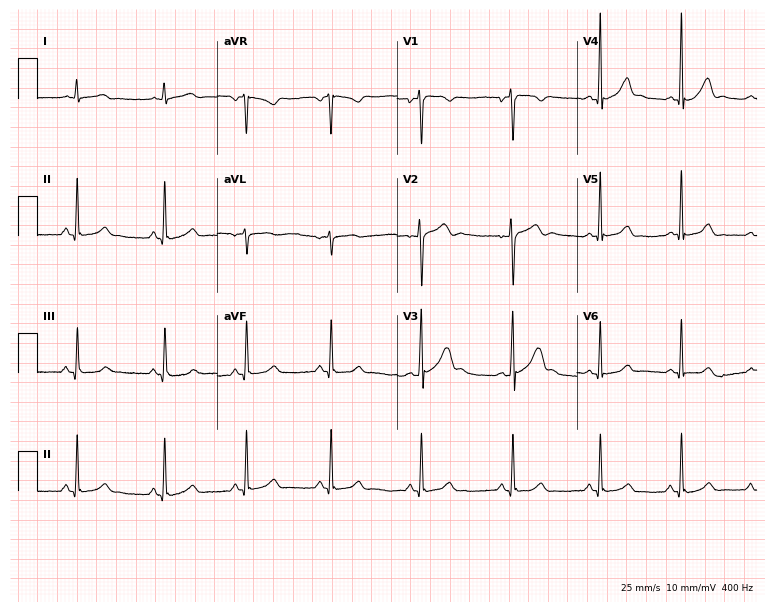
Standard 12-lead ECG recorded from a male, 20 years old. Read as a normal ECG.